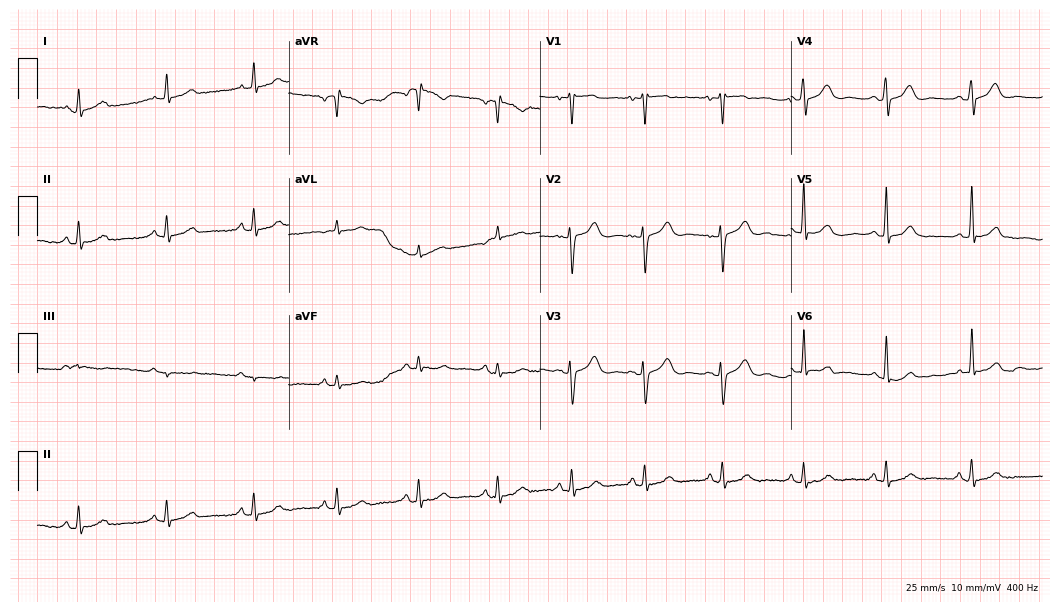
Electrocardiogram (10.2-second recording at 400 Hz), a 46-year-old female patient. Overall reading on record: normal ECG.